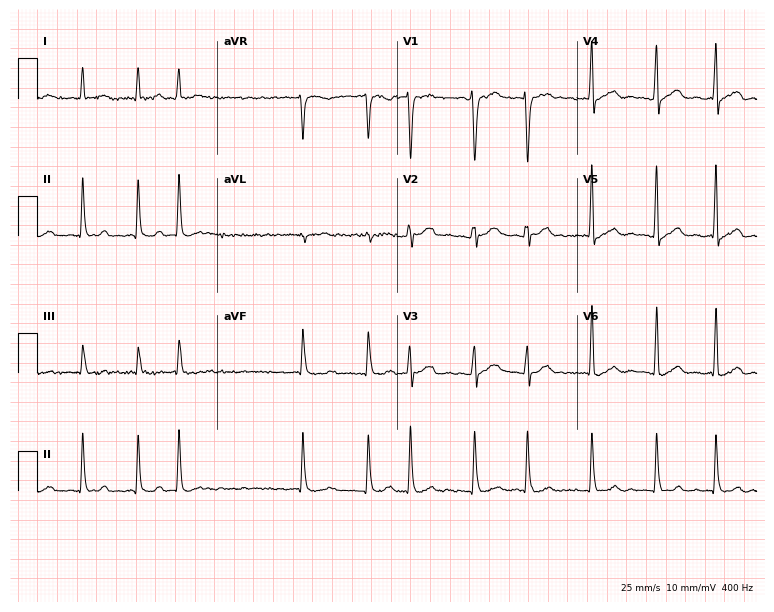
Standard 12-lead ECG recorded from a man, 41 years old (7.3-second recording at 400 Hz). The tracing shows atrial fibrillation (AF).